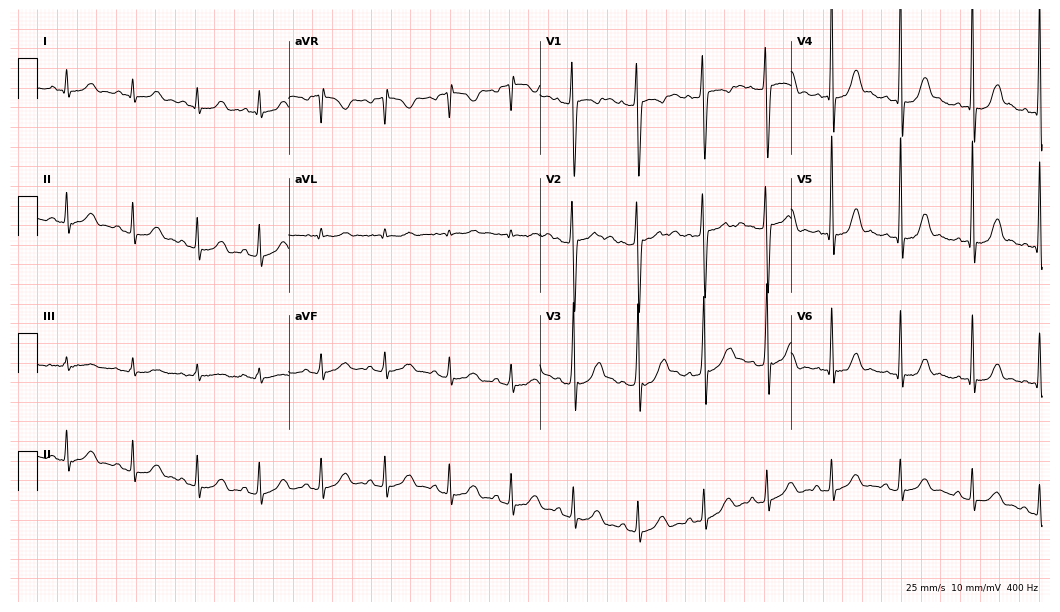
Resting 12-lead electrocardiogram. Patient: a 17-year-old man. None of these six findings is recorded: first-degree AV block, right bundle branch block, left bundle branch block, sinus bradycardia, atrial fibrillation, sinus tachycardia. Other findings, if any, are not listed.